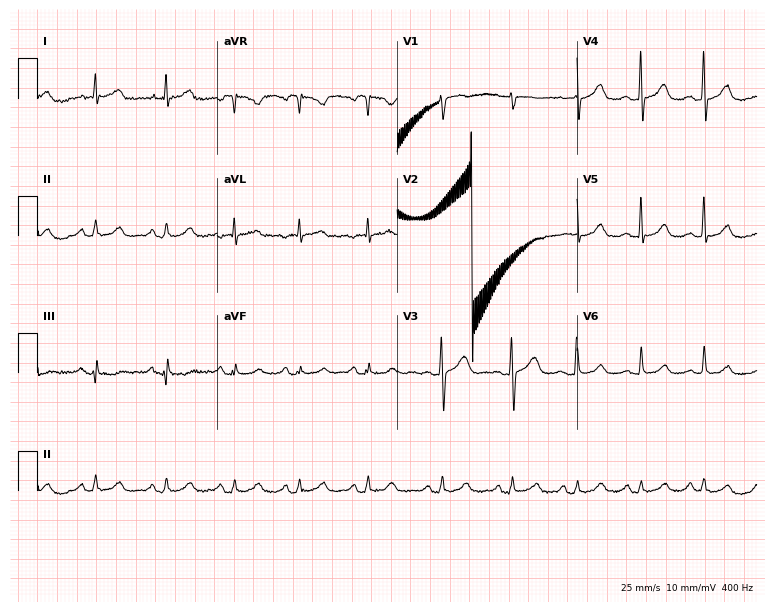
Electrocardiogram, a woman, 28 years old. Of the six screened findings (first-degree AV block, right bundle branch block (RBBB), left bundle branch block (LBBB), sinus bradycardia, atrial fibrillation (AF), sinus tachycardia), none is recorded.